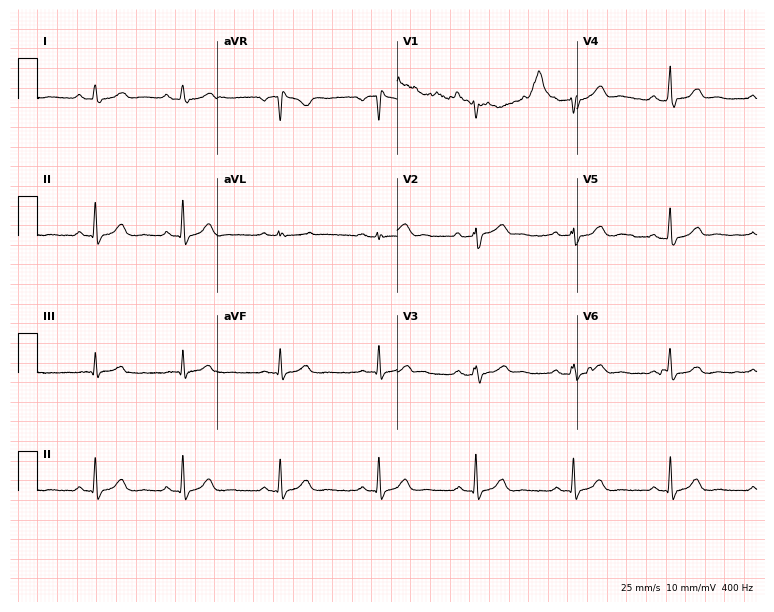
Standard 12-lead ECG recorded from a male patient, 69 years old. Read as a normal ECG.